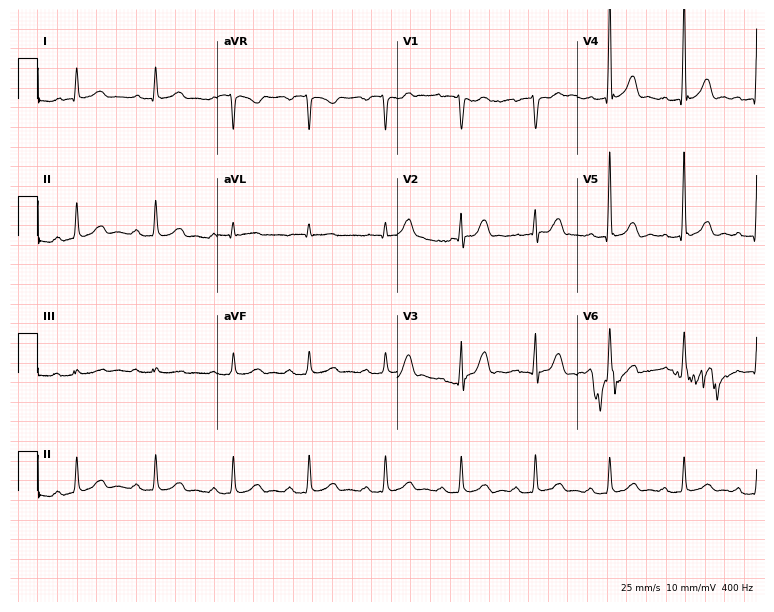
Resting 12-lead electrocardiogram (7.3-second recording at 400 Hz). Patient: a man, 69 years old. Read as a normal ECG.